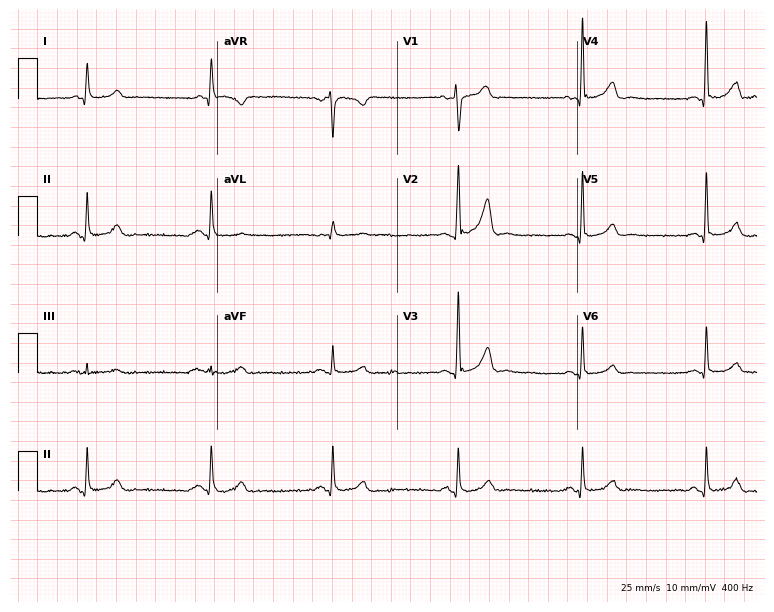
12-lead ECG (7.3-second recording at 400 Hz) from a male patient, 62 years old. Labelled as a normal ECG.